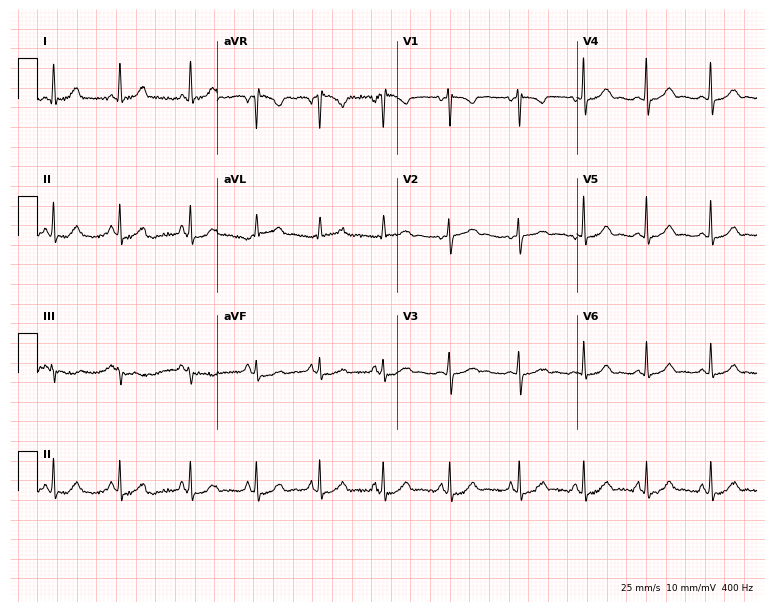
12-lead ECG from a woman, 44 years old (7.3-second recording at 400 Hz). Recorded interpretation: within normal limits.